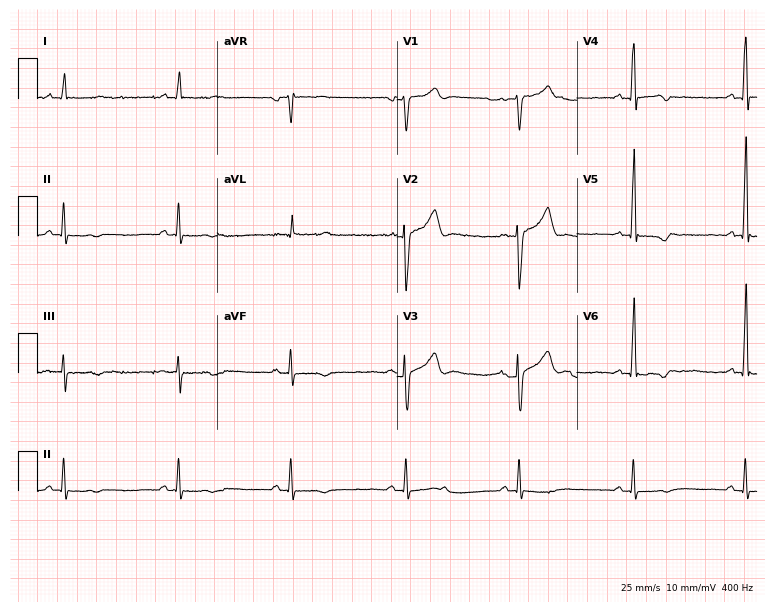
Resting 12-lead electrocardiogram. Patient: a man, 70 years old. None of these six findings is recorded: first-degree AV block, right bundle branch block, left bundle branch block, sinus bradycardia, atrial fibrillation, sinus tachycardia.